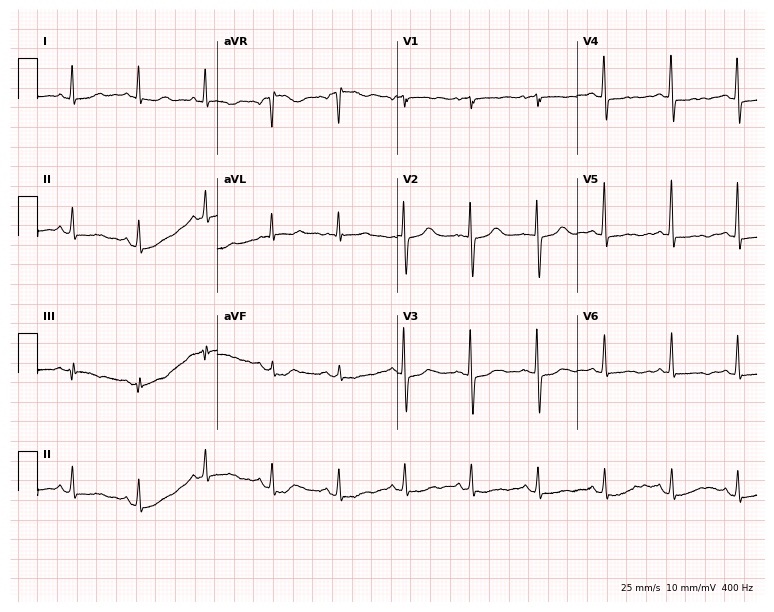
12-lead ECG from a 67-year-old female. No first-degree AV block, right bundle branch block, left bundle branch block, sinus bradycardia, atrial fibrillation or sinus tachycardia recorded for this tracing. Other findings, if any, are not listed.